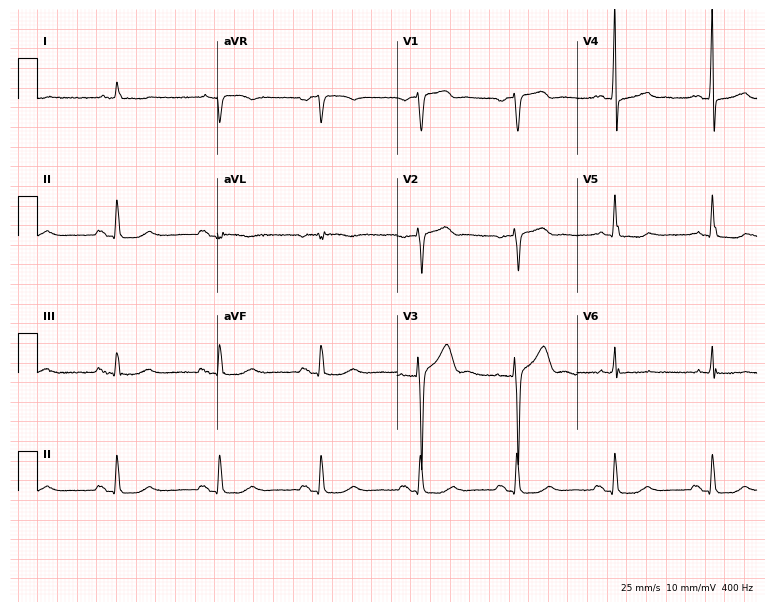
Resting 12-lead electrocardiogram. Patient: a 69-year-old man. None of these six findings is recorded: first-degree AV block, right bundle branch block, left bundle branch block, sinus bradycardia, atrial fibrillation, sinus tachycardia. Findings outside these six are not listed.